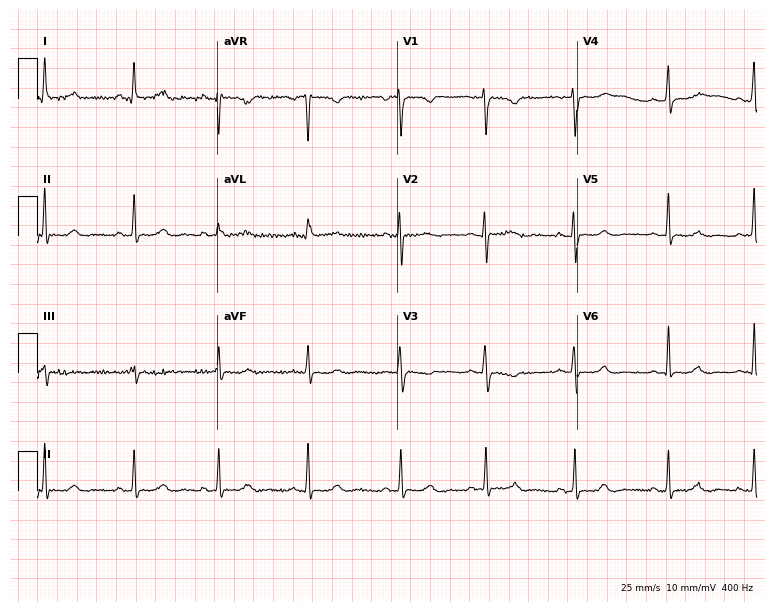
12-lead ECG (7.3-second recording at 400 Hz) from a 35-year-old female patient. Screened for six findings — first-degree AV block, right bundle branch block (RBBB), left bundle branch block (LBBB), sinus bradycardia, atrial fibrillation (AF), sinus tachycardia — none is recorded.